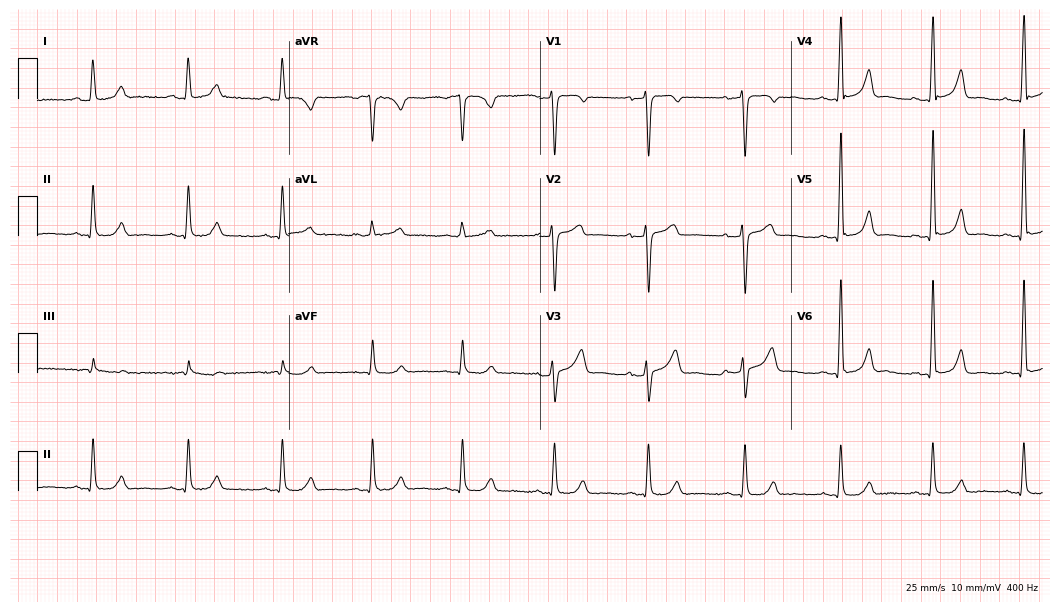
ECG — a female patient, 44 years old. Screened for six findings — first-degree AV block, right bundle branch block, left bundle branch block, sinus bradycardia, atrial fibrillation, sinus tachycardia — none is recorded. Findings outside these six are not listed.